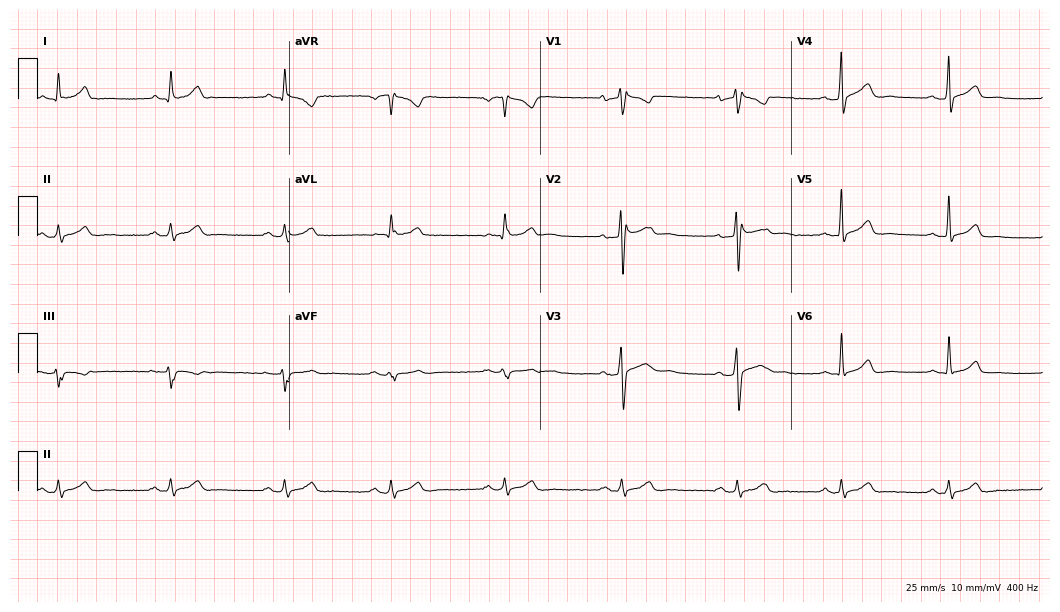
12-lead ECG from a male, 33 years old. No first-degree AV block, right bundle branch block, left bundle branch block, sinus bradycardia, atrial fibrillation or sinus tachycardia recorded for this tracing. Only these six findings were labelled.